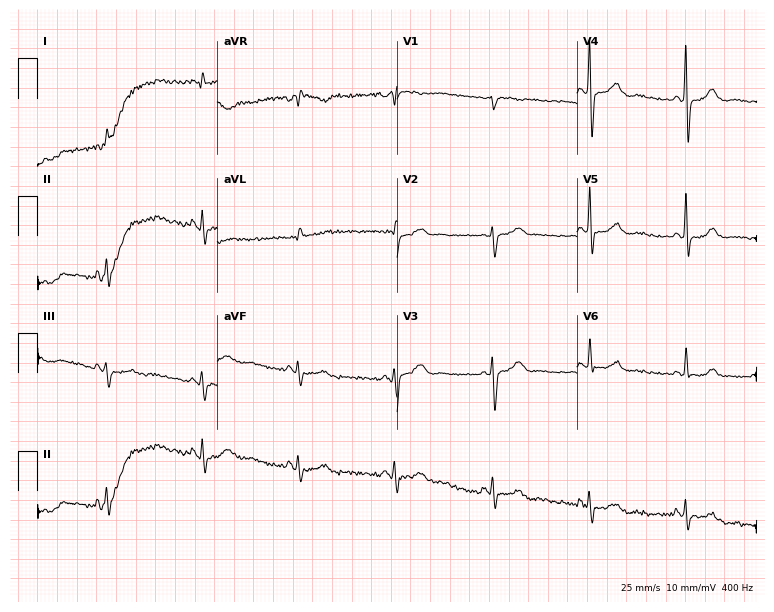
ECG — a woman, 64 years old. Screened for six findings — first-degree AV block, right bundle branch block, left bundle branch block, sinus bradycardia, atrial fibrillation, sinus tachycardia — none is recorded. Findings outside these six are not listed.